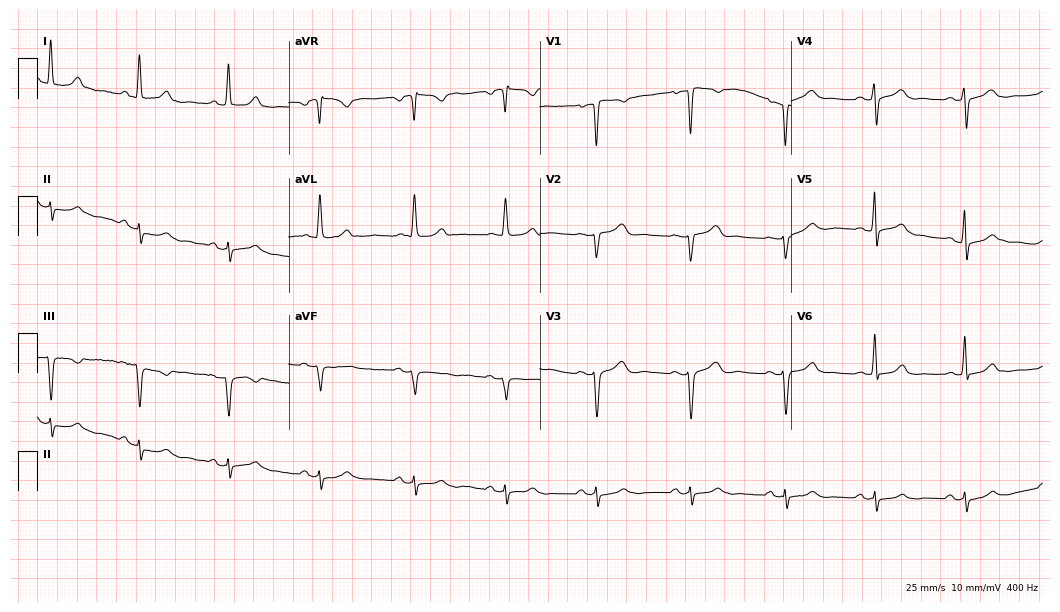
Resting 12-lead electrocardiogram (10.2-second recording at 400 Hz). Patient: a 41-year-old woman. None of these six findings is recorded: first-degree AV block, right bundle branch block (RBBB), left bundle branch block (LBBB), sinus bradycardia, atrial fibrillation (AF), sinus tachycardia.